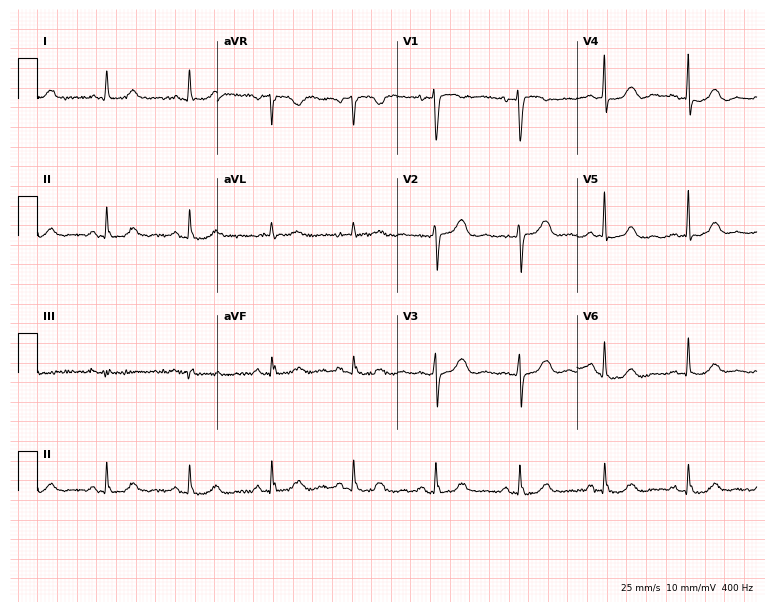
Electrocardiogram, a woman, 71 years old. Overall reading on record: normal ECG.